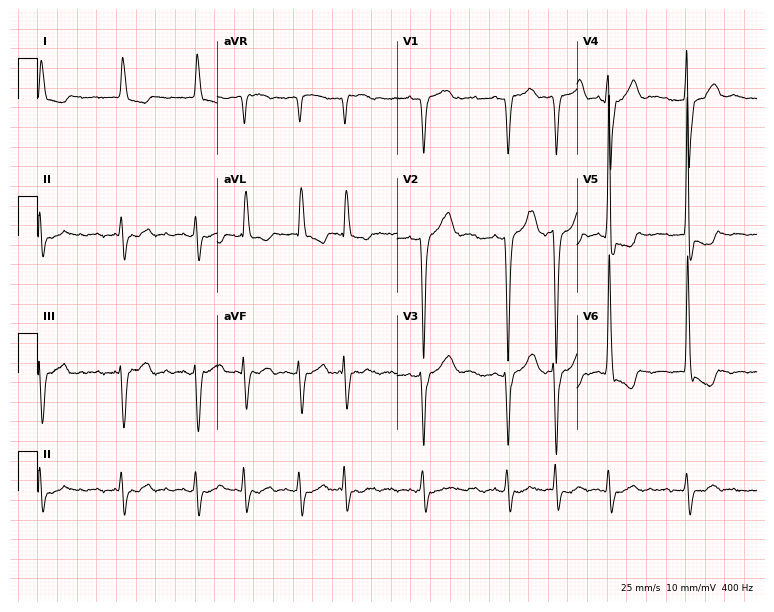
Standard 12-lead ECG recorded from a 70-year-old female patient (7.3-second recording at 400 Hz). The tracing shows atrial fibrillation.